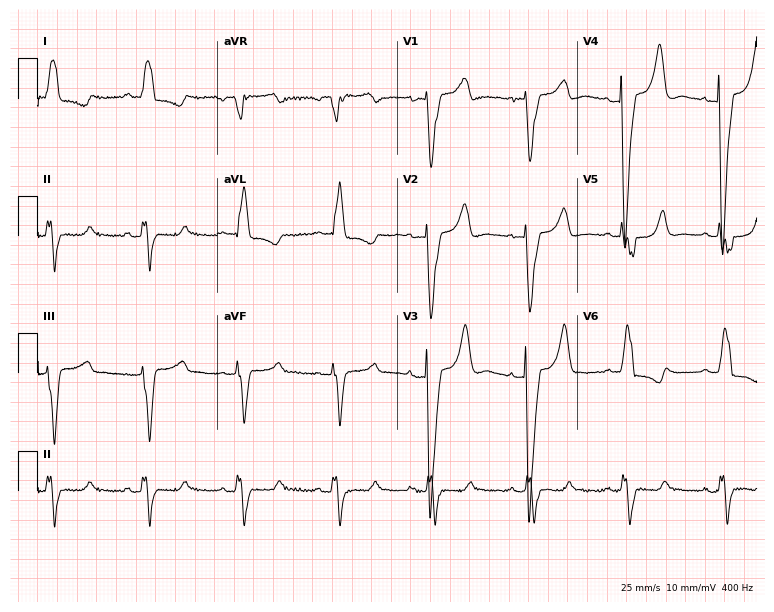
Resting 12-lead electrocardiogram (7.3-second recording at 400 Hz). Patient: a 53-year-old female. The tracing shows left bundle branch block.